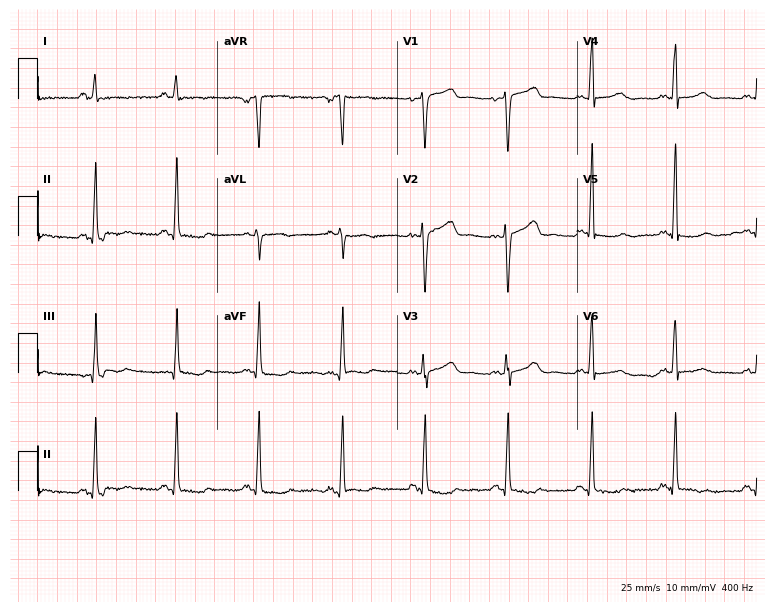
12-lead ECG from a 40-year-old woman. No first-degree AV block, right bundle branch block (RBBB), left bundle branch block (LBBB), sinus bradycardia, atrial fibrillation (AF) or sinus tachycardia recorded for this tracing. Only these six findings were labelled.